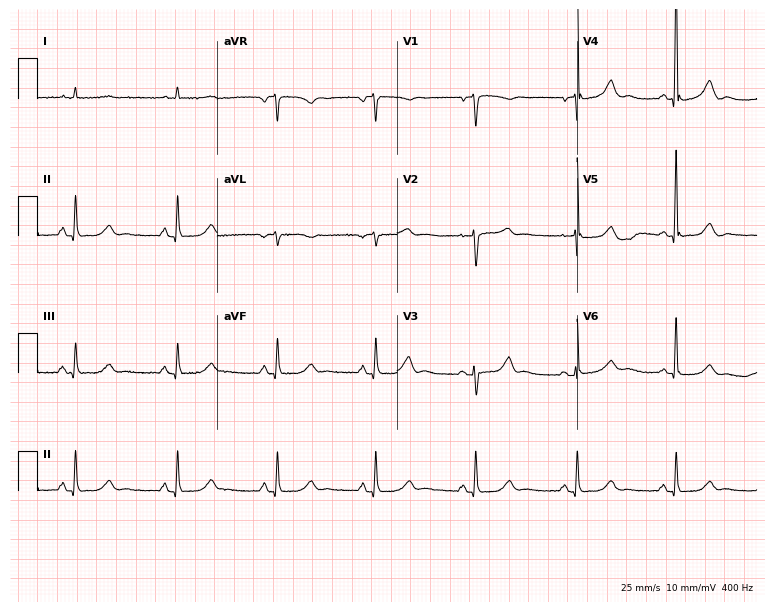
12-lead ECG (7.3-second recording at 400 Hz) from a female patient, 76 years old. Screened for six findings — first-degree AV block, right bundle branch block, left bundle branch block, sinus bradycardia, atrial fibrillation, sinus tachycardia — none is recorded.